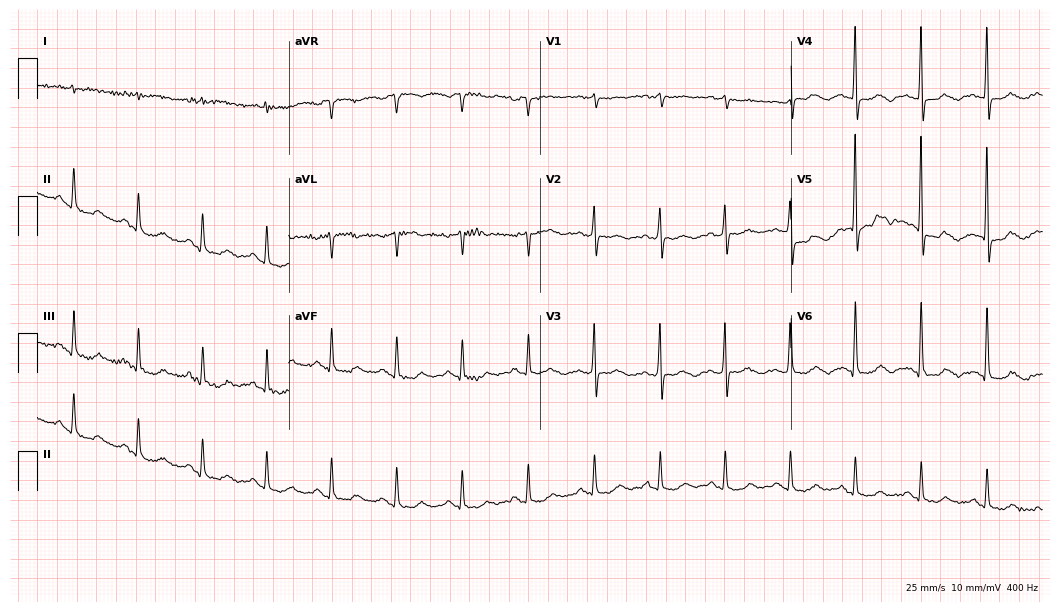
Electrocardiogram (10.2-second recording at 400 Hz), a 51-year-old male patient. Of the six screened findings (first-degree AV block, right bundle branch block, left bundle branch block, sinus bradycardia, atrial fibrillation, sinus tachycardia), none is recorded. Only these six findings were labelled.